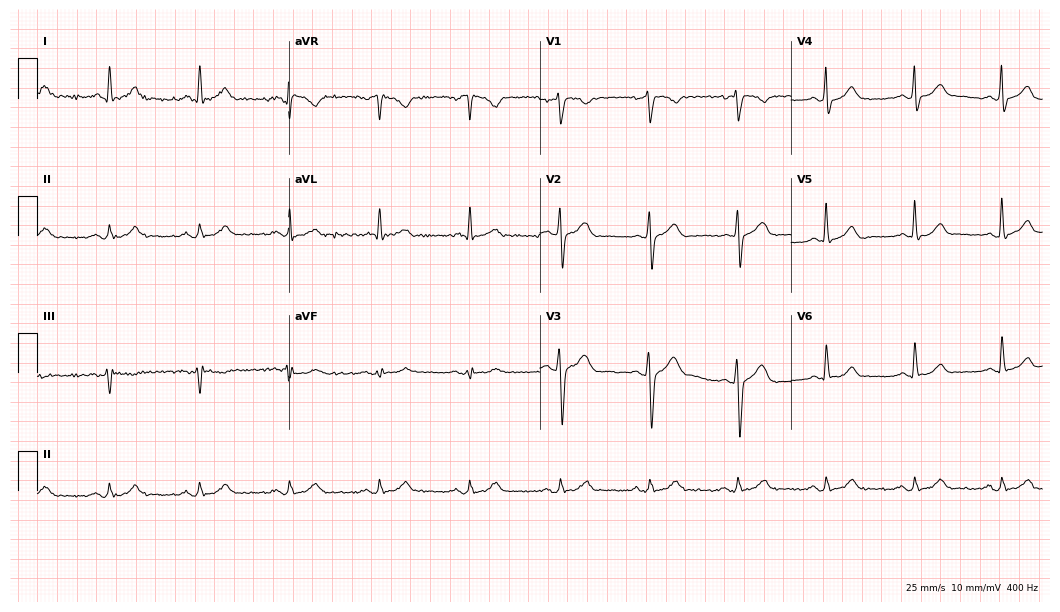
ECG — a male, 40 years old. Labelled as a normal ECG.